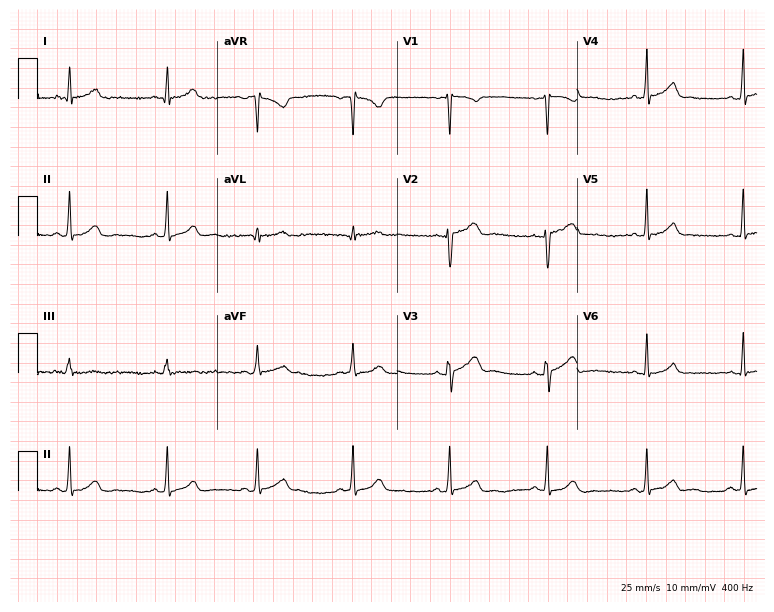
12-lead ECG from a 21-year-old woman. Recorded interpretation: within normal limits.